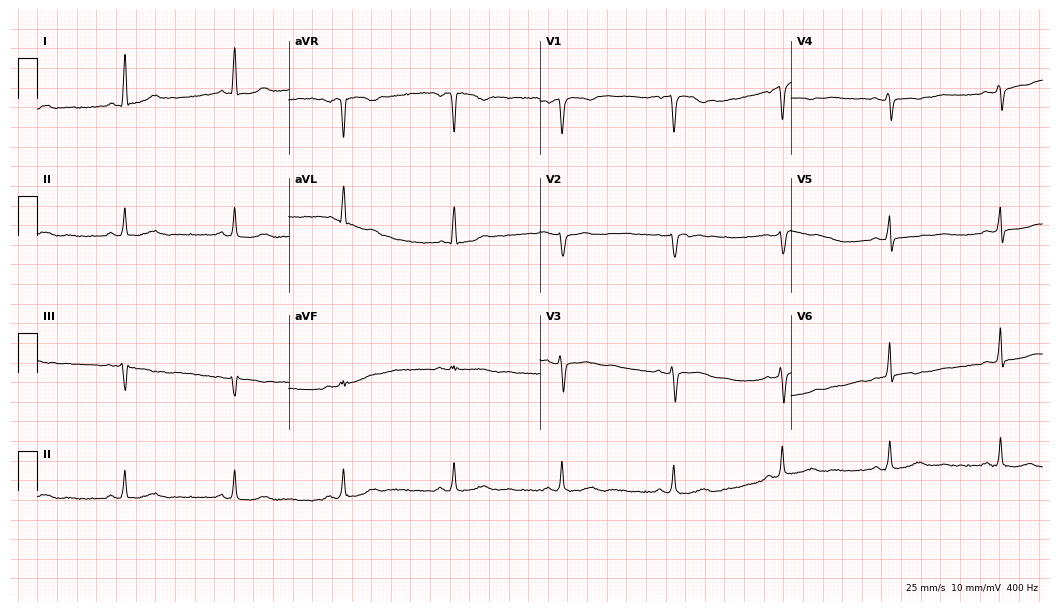
ECG — a 42-year-old female. Screened for six findings — first-degree AV block, right bundle branch block, left bundle branch block, sinus bradycardia, atrial fibrillation, sinus tachycardia — none is recorded.